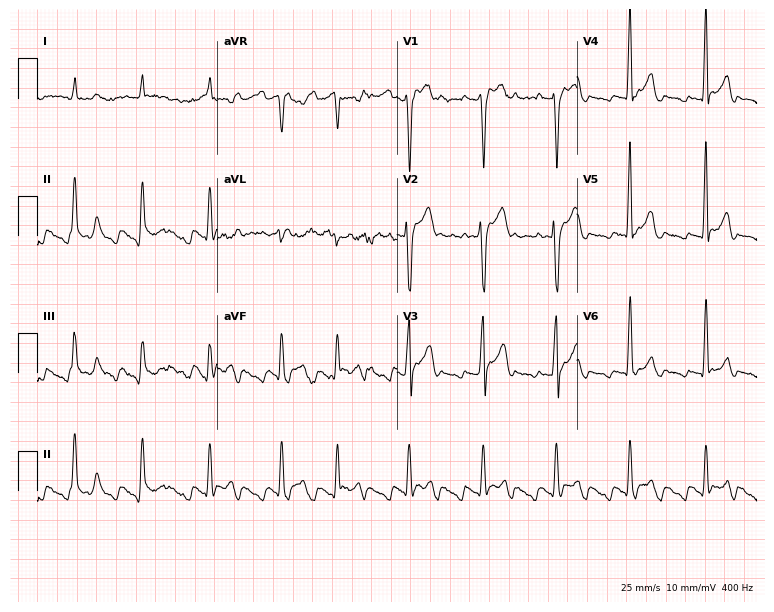
Resting 12-lead electrocardiogram. Patient: a 54-year-old man. None of these six findings is recorded: first-degree AV block, right bundle branch block, left bundle branch block, sinus bradycardia, atrial fibrillation, sinus tachycardia. Only these six findings were labelled.